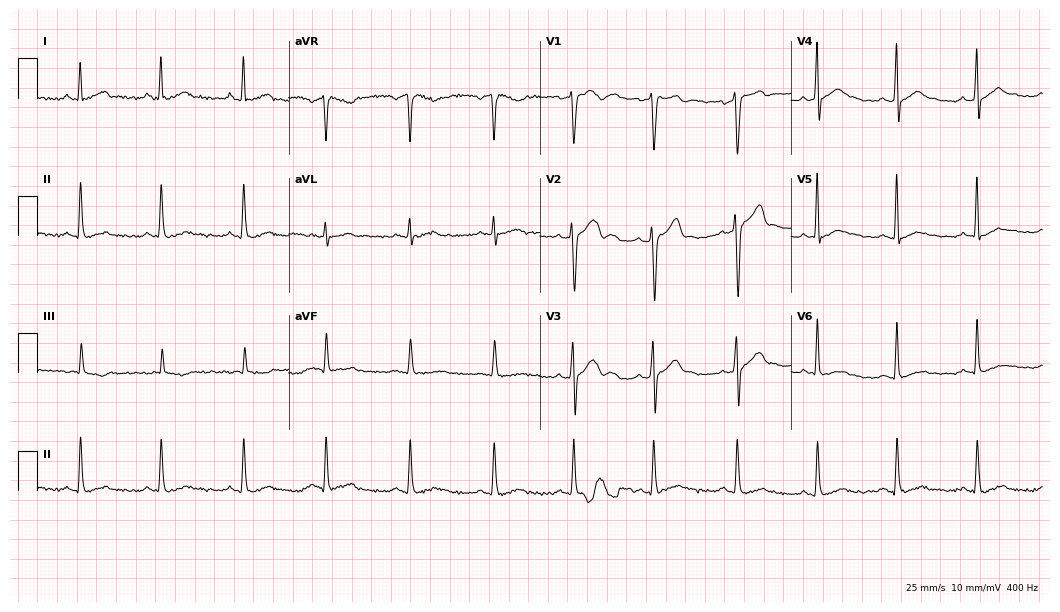
ECG — a female patient, 29 years old. Screened for six findings — first-degree AV block, right bundle branch block (RBBB), left bundle branch block (LBBB), sinus bradycardia, atrial fibrillation (AF), sinus tachycardia — none is recorded.